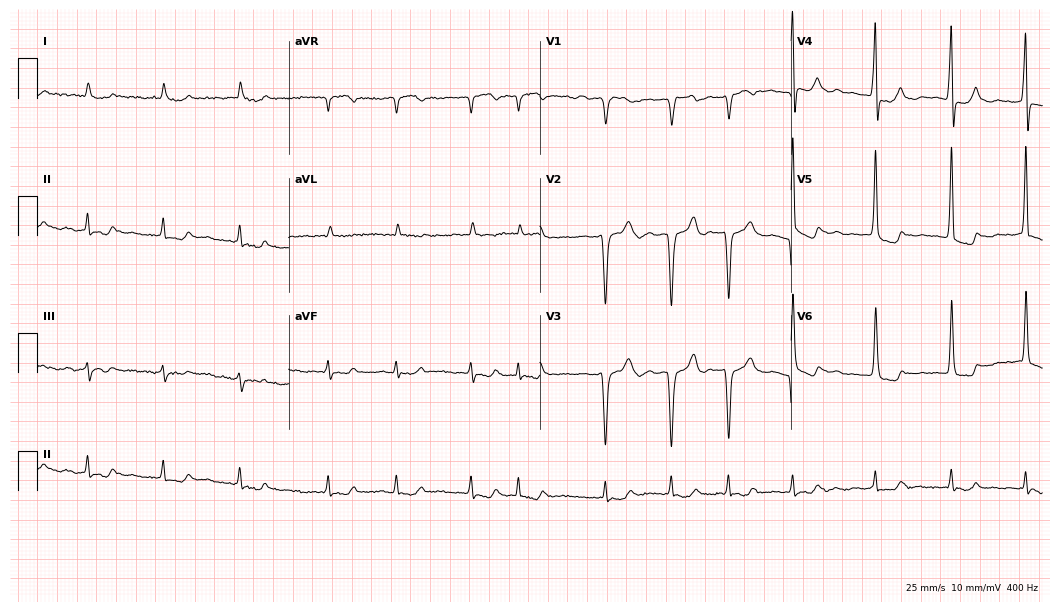
ECG (10.2-second recording at 400 Hz) — a male, 85 years old. Screened for six findings — first-degree AV block, right bundle branch block, left bundle branch block, sinus bradycardia, atrial fibrillation, sinus tachycardia — none is recorded. Findings outside these six are not listed.